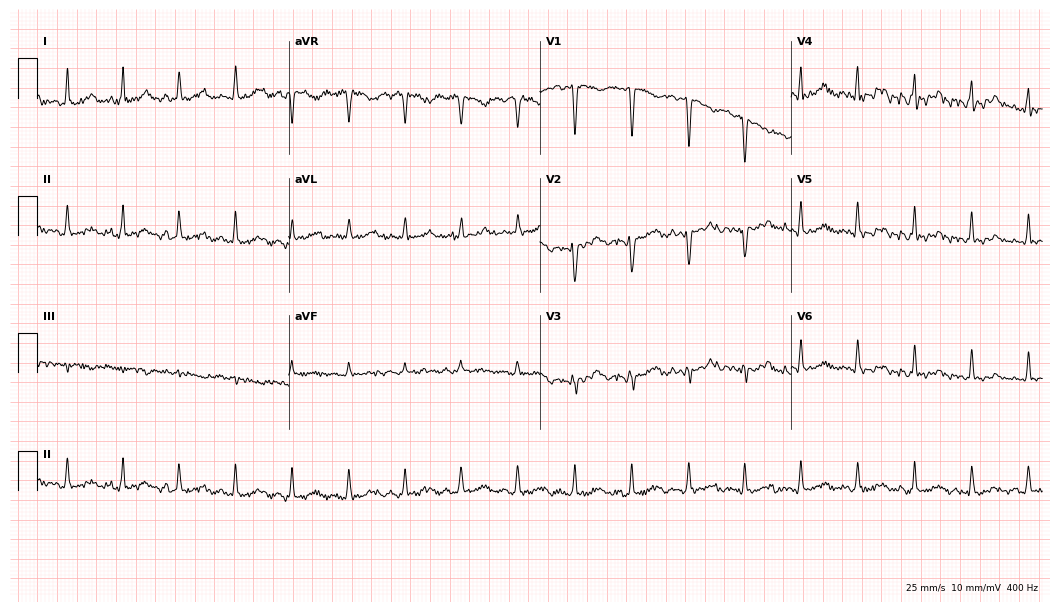
Resting 12-lead electrocardiogram (10.2-second recording at 400 Hz). Patient: a 33-year-old female. None of these six findings is recorded: first-degree AV block, right bundle branch block (RBBB), left bundle branch block (LBBB), sinus bradycardia, atrial fibrillation (AF), sinus tachycardia.